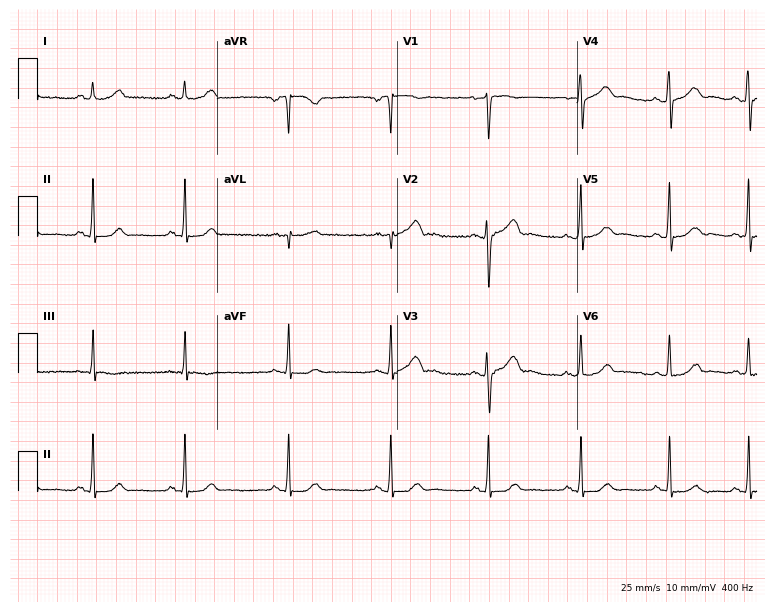
Electrocardiogram, a 41-year-old female patient. Of the six screened findings (first-degree AV block, right bundle branch block (RBBB), left bundle branch block (LBBB), sinus bradycardia, atrial fibrillation (AF), sinus tachycardia), none is recorded.